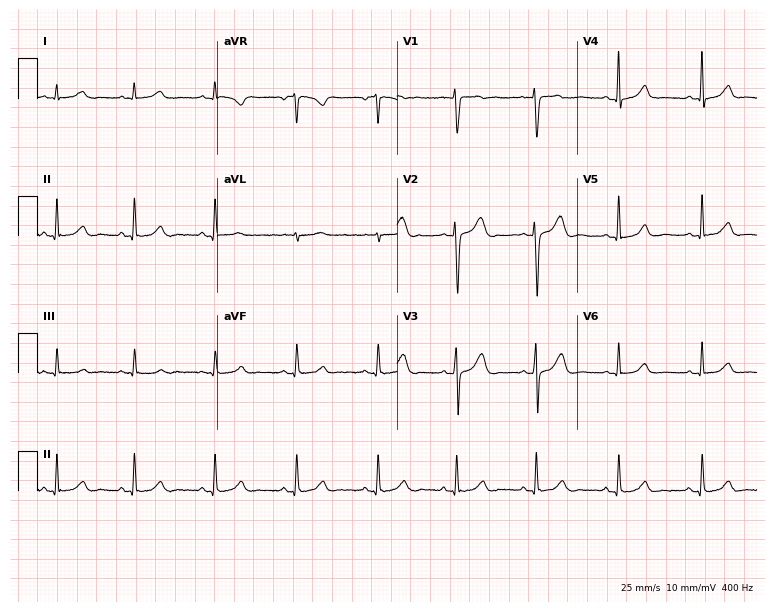
12-lead ECG (7.3-second recording at 400 Hz) from a 36-year-old woman. Labelled as a normal ECG.